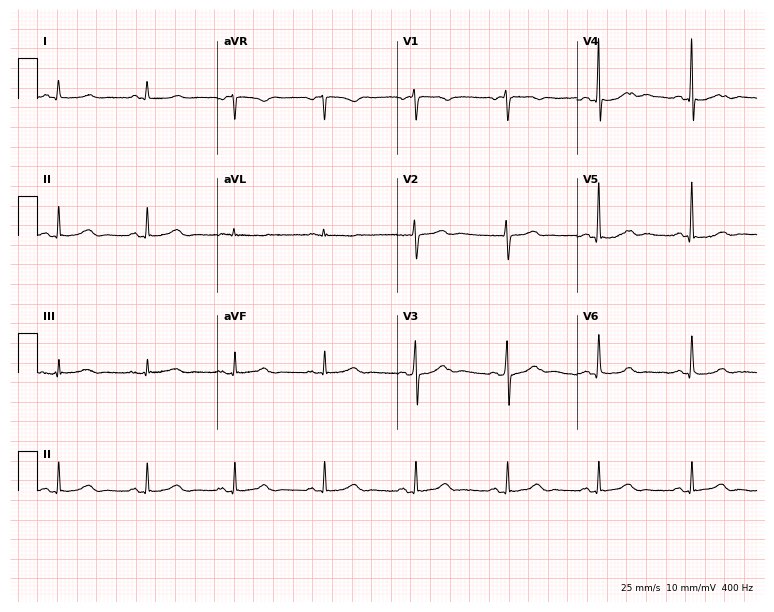
12-lead ECG from a female patient, 60 years old. Recorded interpretation: within normal limits.